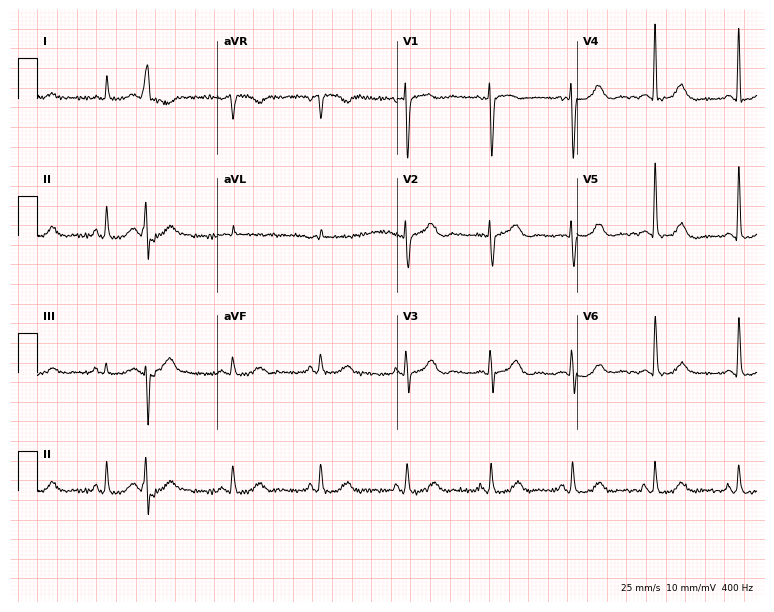
ECG (7.3-second recording at 400 Hz) — an 80-year-old female patient. Screened for six findings — first-degree AV block, right bundle branch block (RBBB), left bundle branch block (LBBB), sinus bradycardia, atrial fibrillation (AF), sinus tachycardia — none is recorded. Findings outside these six are not listed.